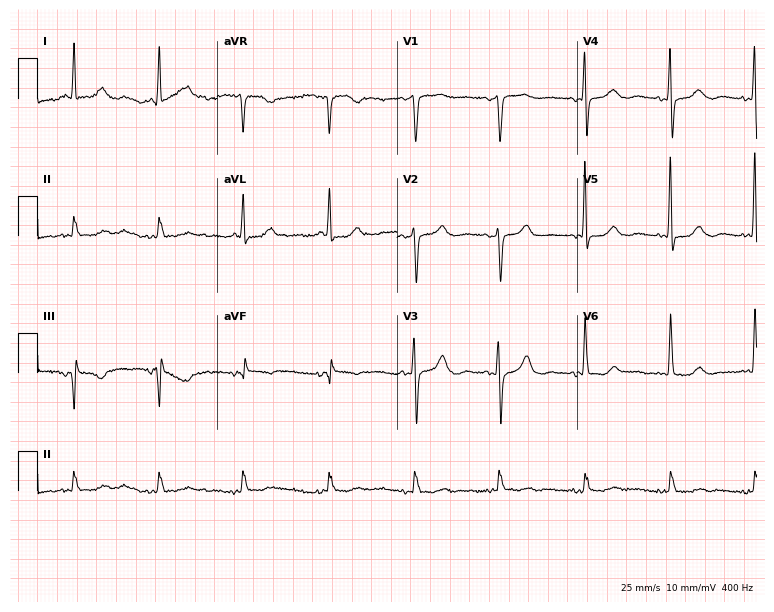
12-lead ECG (7.3-second recording at 400 Hz) from an 80-year-old woman. Screened for six findings — first-degree AV block, right bundle branch block, left bundle branch block, sinus bradycardia, atrial fibrillation, sinus tachycardia — none is recorded. Findings outside these six are not listed.